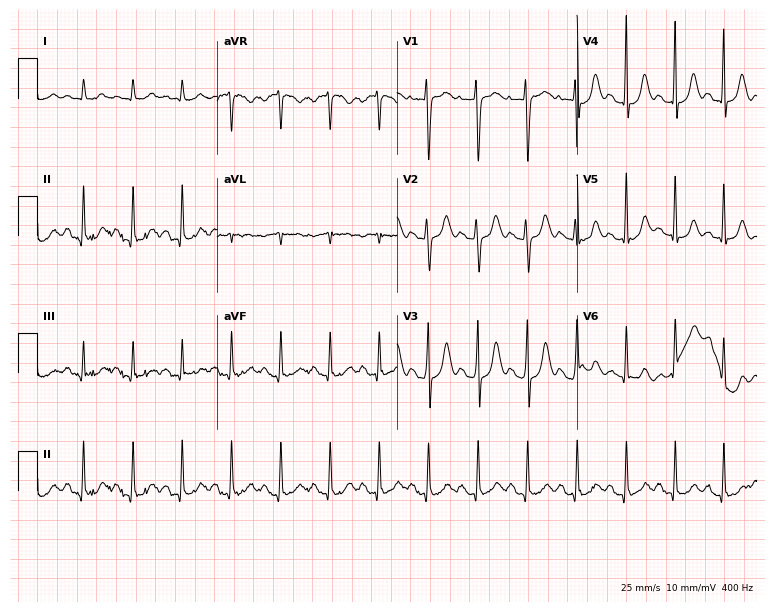
12-lead ECG from a 22-year-old woman. Findings include sinus tachycardia (a sinus rate of 100 beats per minute or more).